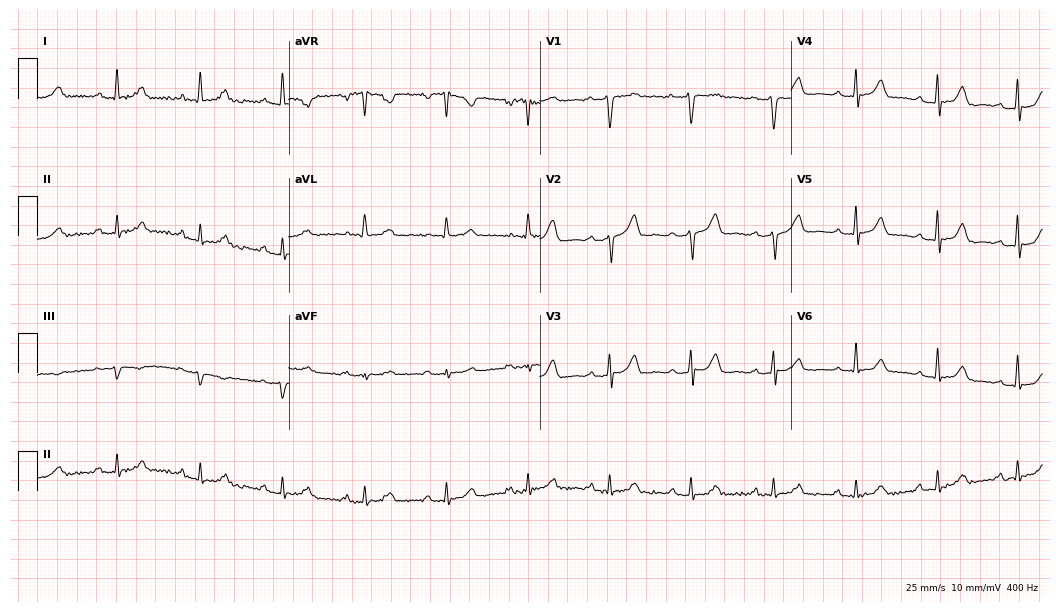
12-lead ECG from a 67-year-old female patient. Recorded interpretation: within normal limits.